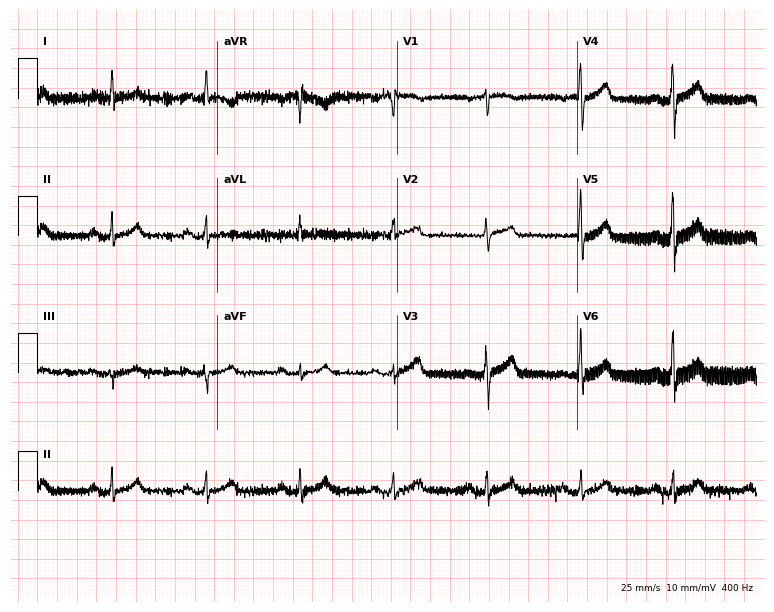
12-lead ECG from a 76-year-old man. No first-degree AV block, right bundle branch block (RBBB), left bundle branch block (LBBB), sinus bradycardia, atrial fibrillation (AF) or sinus tachycardia recorded for this tracing. Findings outside these six are not listed.